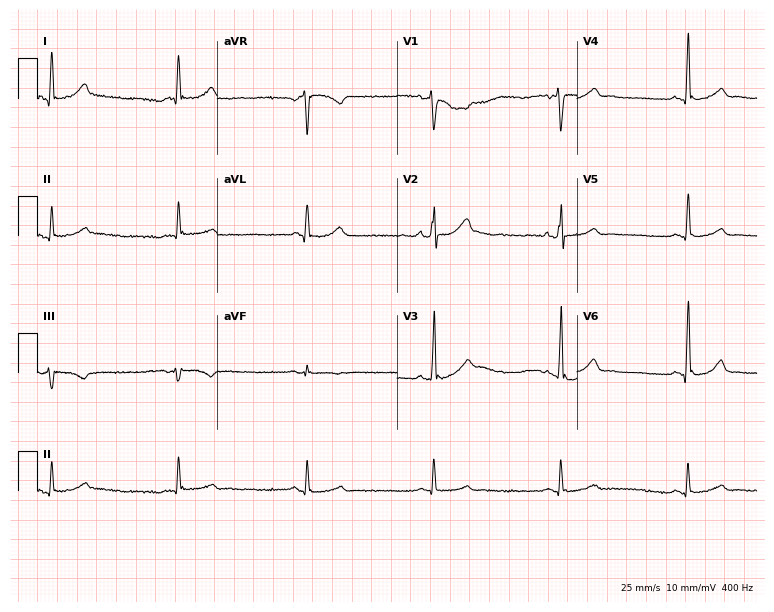
Resting 12-lead electrocardiogram. Patient: a 59-year-old male. None of these six findings is recorded: first-degree AV block, right bundle branch block (RBBB), left bundle branch block (LBBB), sinus bradycardia, atrial fibrillation (AF), sinus tachycardia.